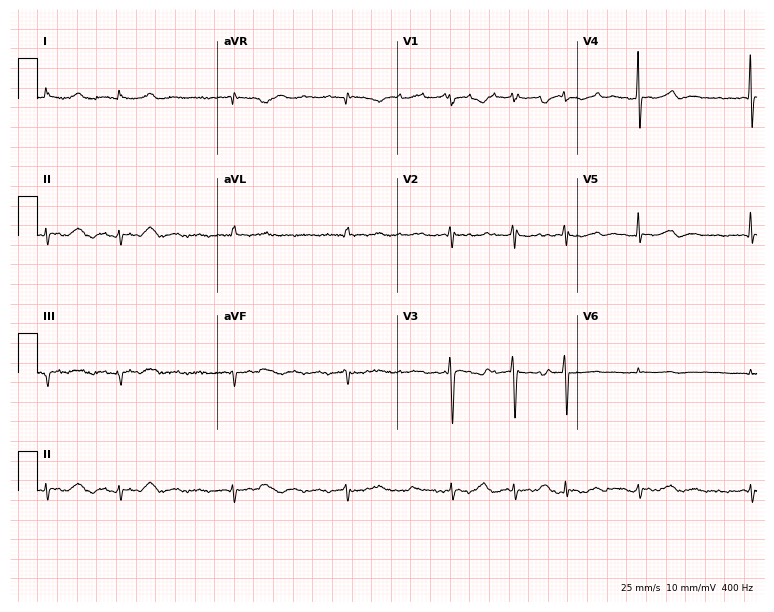
Resting 12-lead electrocardiogram (7.3-second recording at 400 Hz). Patient: a 78-year-old woman. The tracing shows atrial fibrillation (AF).